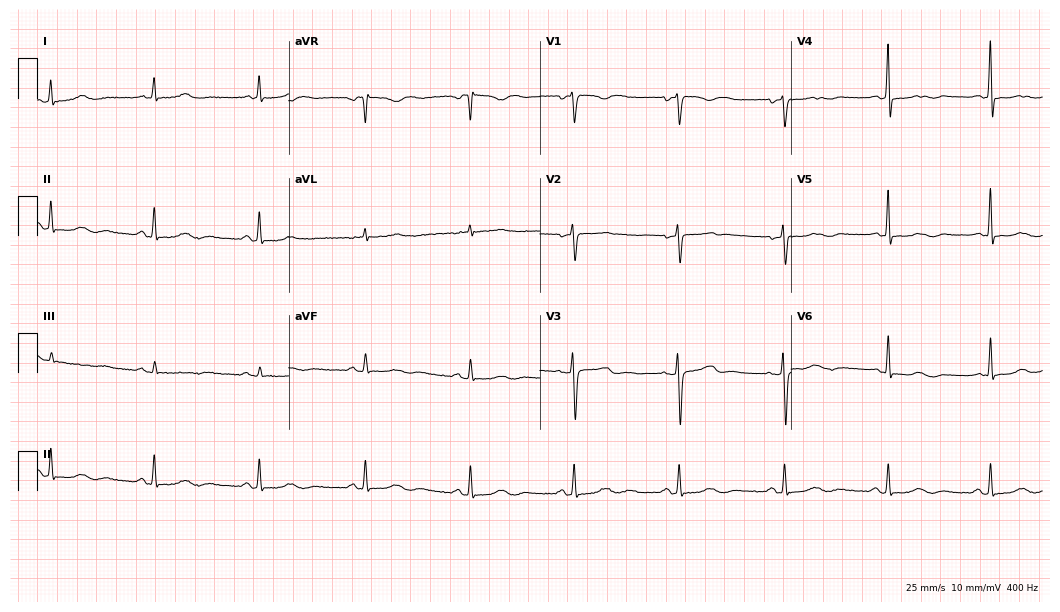
12-lead ECG from a female, 40 years old. Screened for six findings — first-degree AV block, right bundle branch block, left bundle branch block, sinus bradycardia, atrial fibrillation, sinus tachycardia — none is recorded.